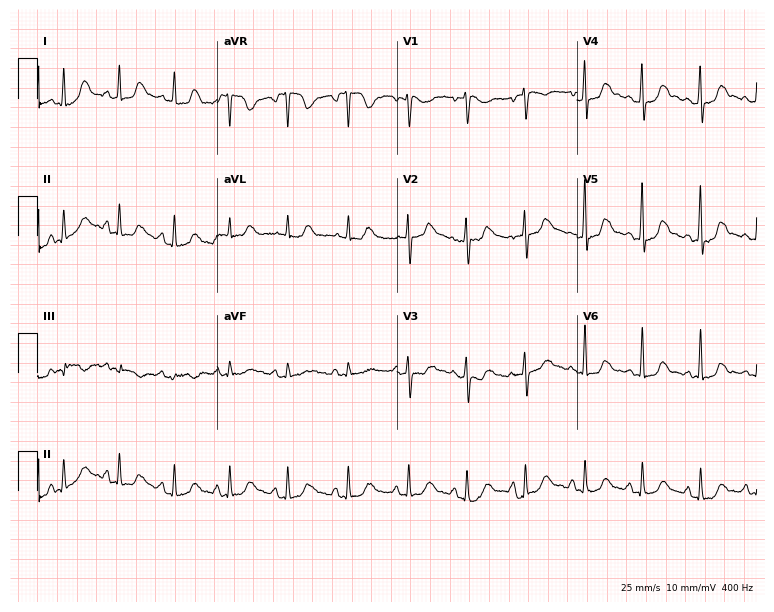
Resting 12-lead electrocardiogram (7.3-second recording at 400 Hz). Patient: a woman, 26 years old. Read as a normal ECG.